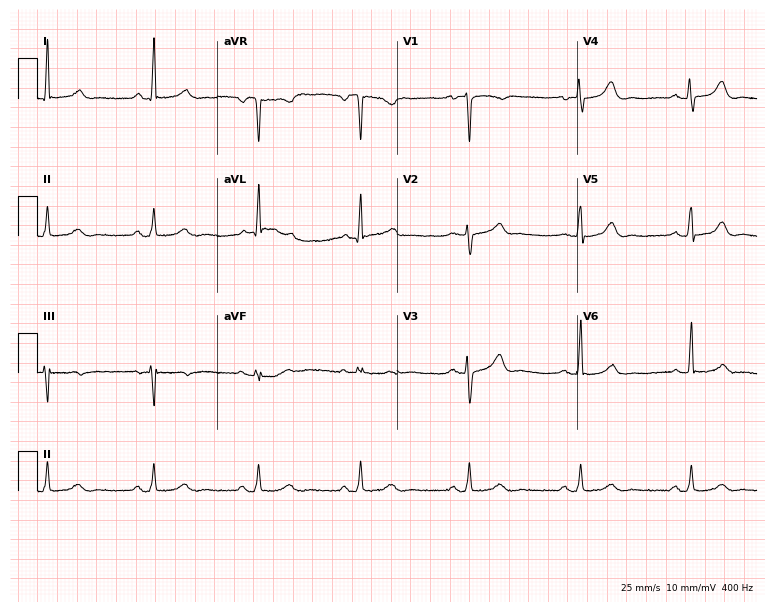
Resting 12-lead electrocardiogram (7.3-second recording at 400 Hz). Patient: a female, 63 years old. Read as a normal ECG.